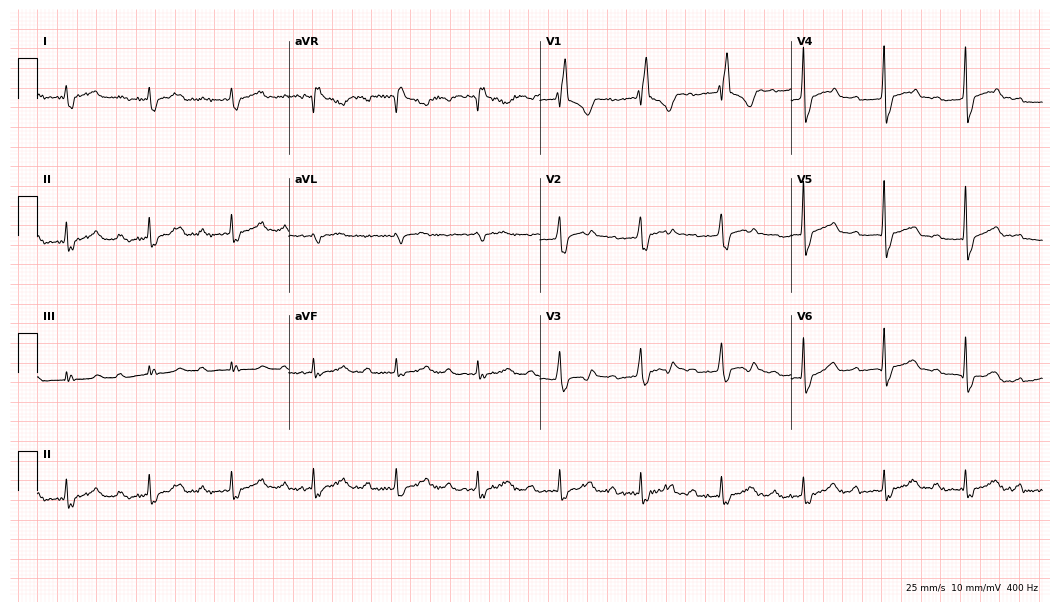
Standard 12-lead ECG recorded from a male patient, 42 years old (10.2-second recording at 400 Hz). The tracing shows first-degree AV block, right bundle branch block (RBBB).